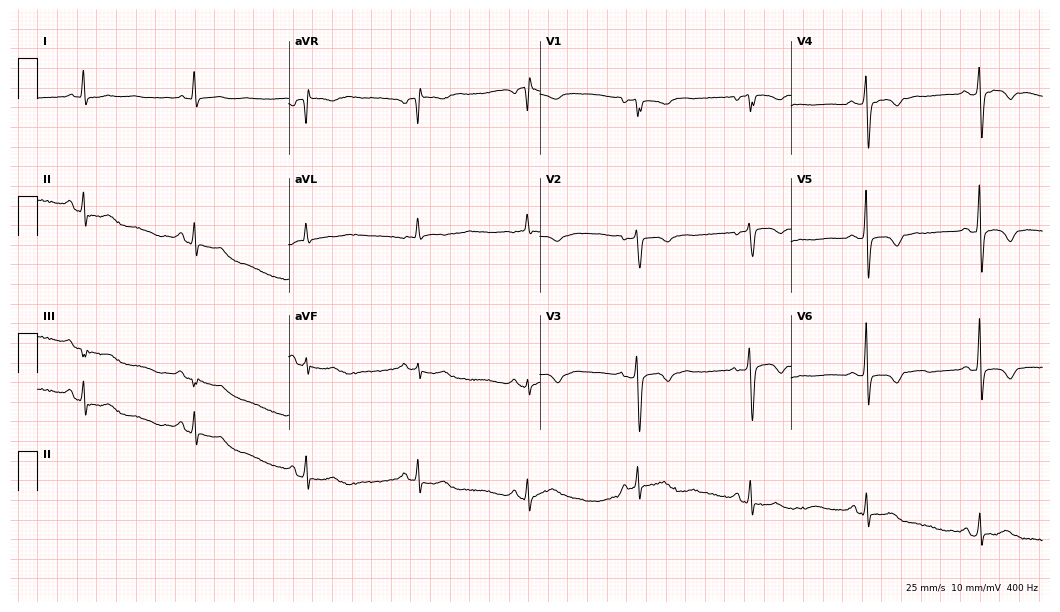
12-lead ECG (10.2-second recording at 400 Hz) from a female, 80 years old. Screened for six findings — first-degree AV block, right bundle branch block, left bundle branch block, sinus bradycardia, atrial fibrillation, sinus tachycardia — none is recorded. Only these six findings were labelled.